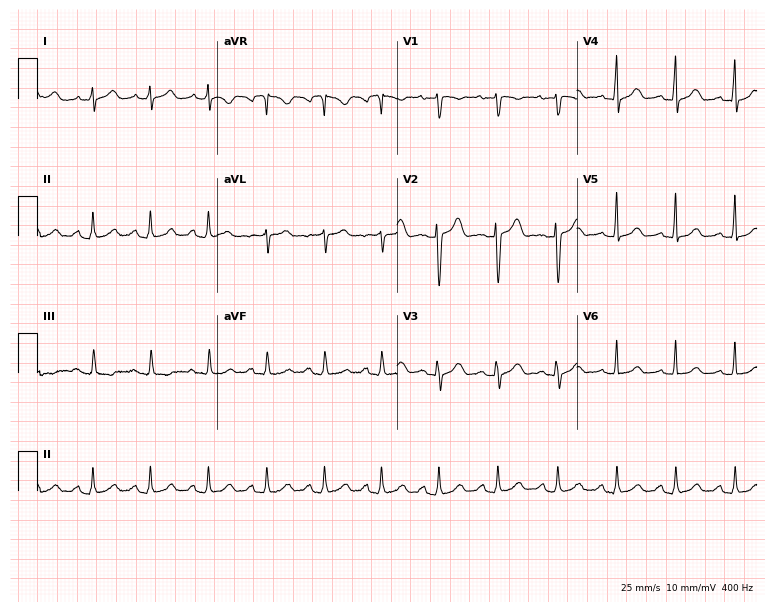
12-lead ECG from a female, 40 years old (7.3-second recording at 400 Hz). Recorded interpretation: within normal limits.